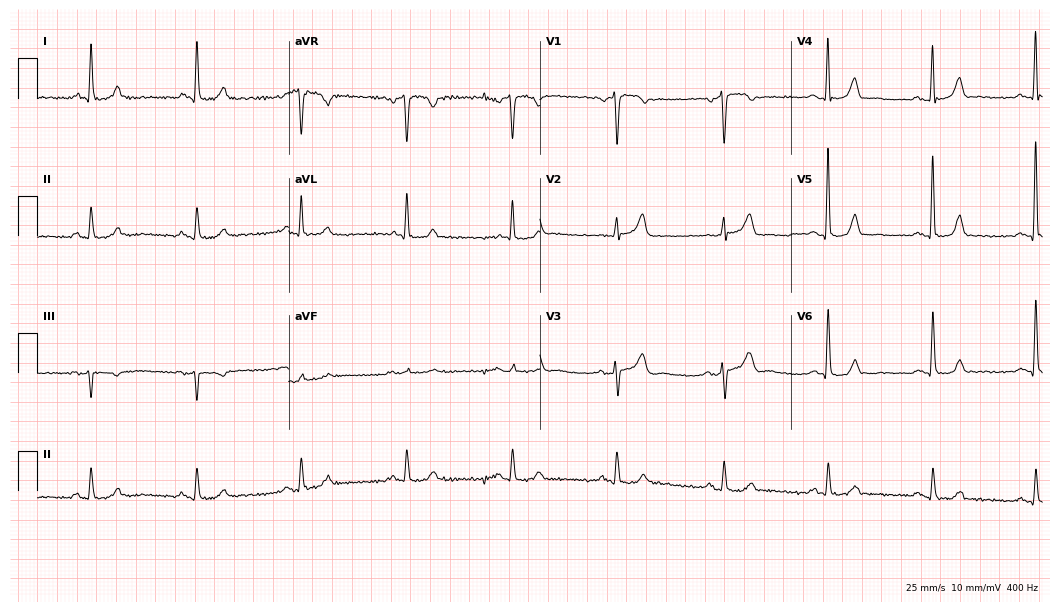
Standard 12-lead ECG recorded from a male patient, 75 years old (10.2-second recording at 400 Hz). Read as a normal ECG.